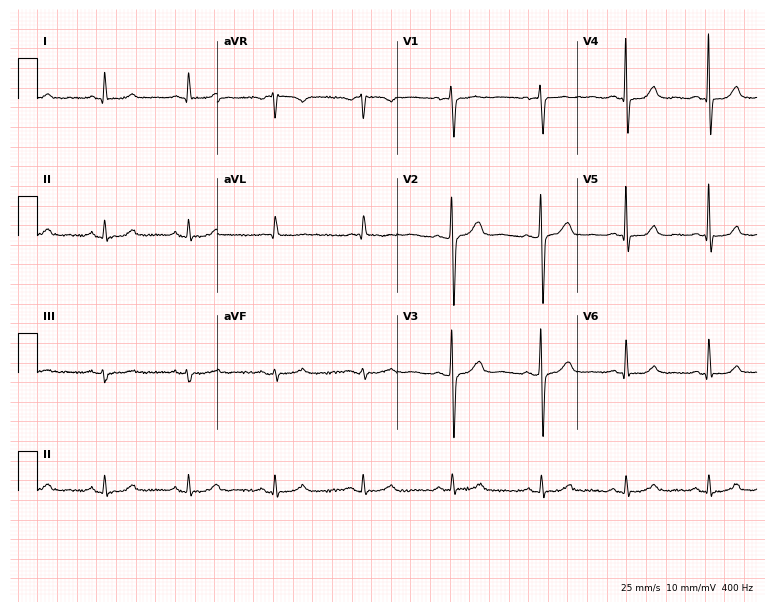
ECG — a woman, 70 years old. Screened for six findings — first-degree AV block, right bundle branch block, left bundle branch block, sinus bradycardia, atrial fibrillation, sinus tachycardia — none is recorded.